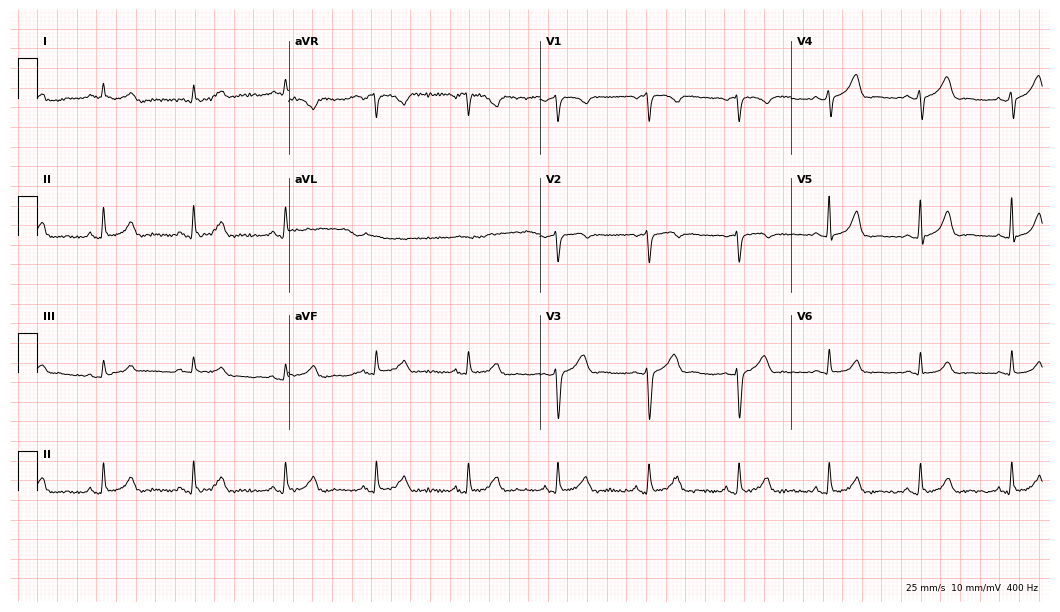
Electrocardiogram (10.2-second recording at 400 Hz), a 49-year-old female. Overall reading on record: normal ECG.